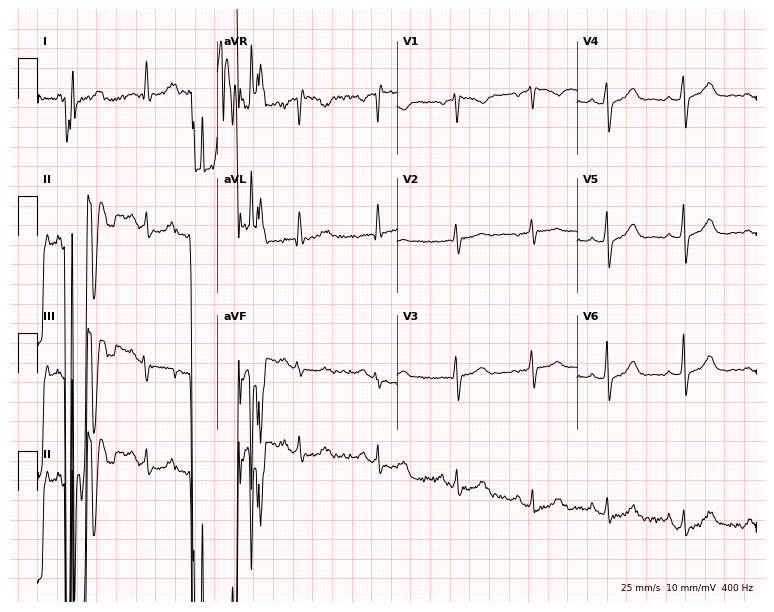
ECG — a 46-year-old woman. Screened for six findings — first-degree AV block, right bundle branch block, left bundle branch block, sinus bradycardia, atrial fibrillation, sinus tachycardia — none is recorded. Findings outside these six are not listed.